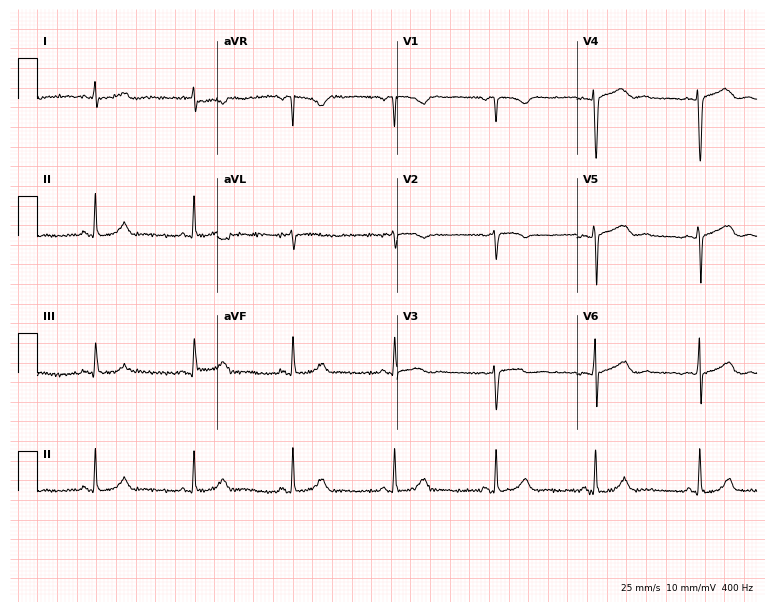
Resting 12-lead electrocardiogram. Patient: a female, 40 years old. Read as a normal ECG.